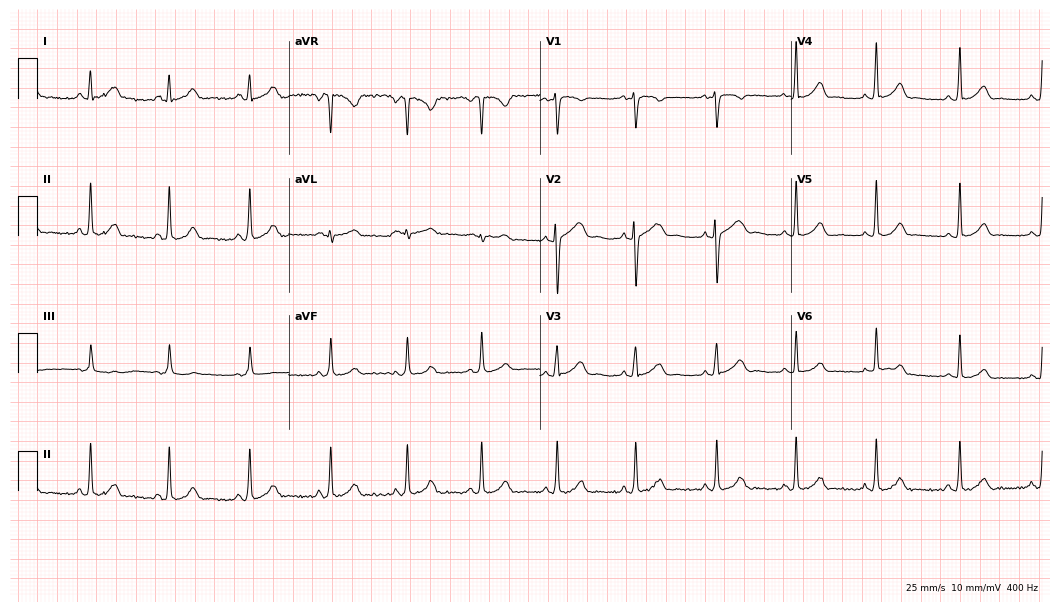
ECG — a 23-year-old woman. Screened for six findings — first-degree AV block, right bundle branch block (RBBB), left bundle branch block (LBBB), sinus bradycardia, atrial fibrillation (AF), sinus tachycardia — none is recorded. Other findings, if any, are not listed.